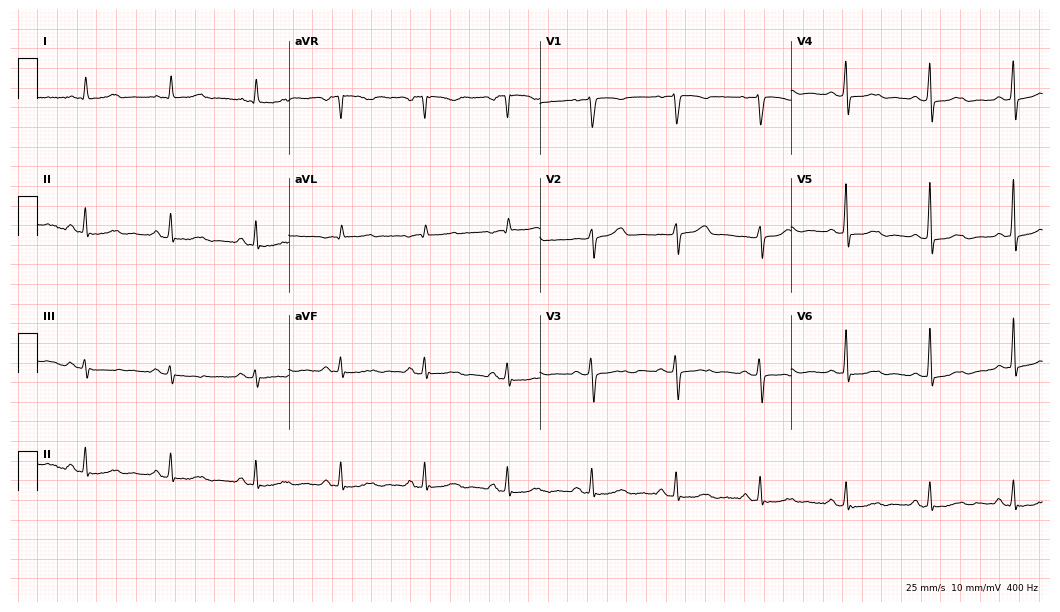
Resting 12-lead electrocardiogram. Patient: a 53-year-old woman. Read as a normal ECG.